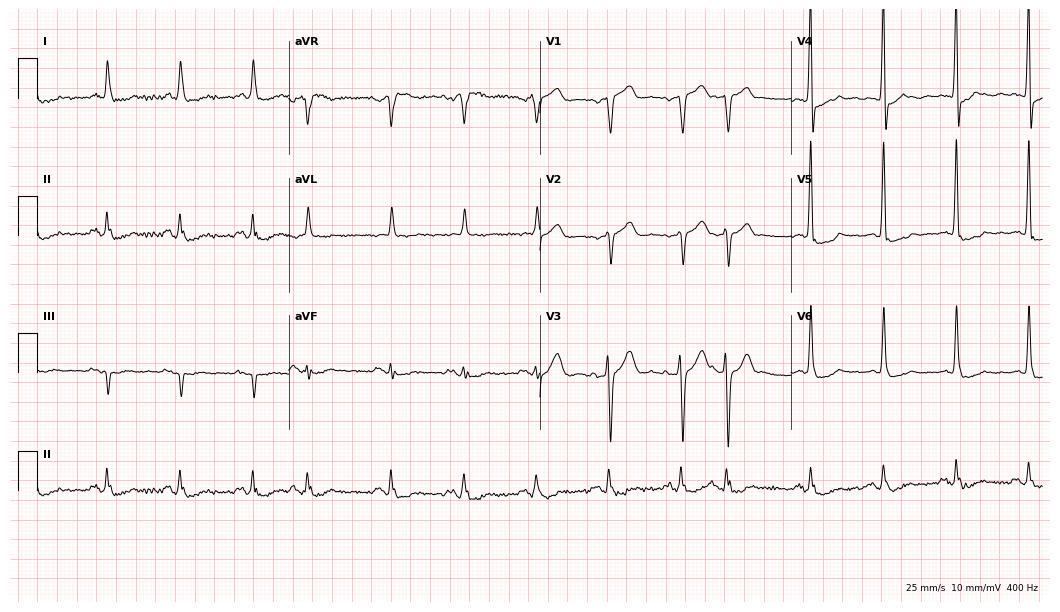
Standard 12-lead ECG recorded from a 64-year-old male. None of these six findings is recorded: first-degree AV block, right bundle branch block (RBBB), left bundle branch block (LBBB), sinus bradycardia, atrial fibrillation (AF), sinus tachycardia.